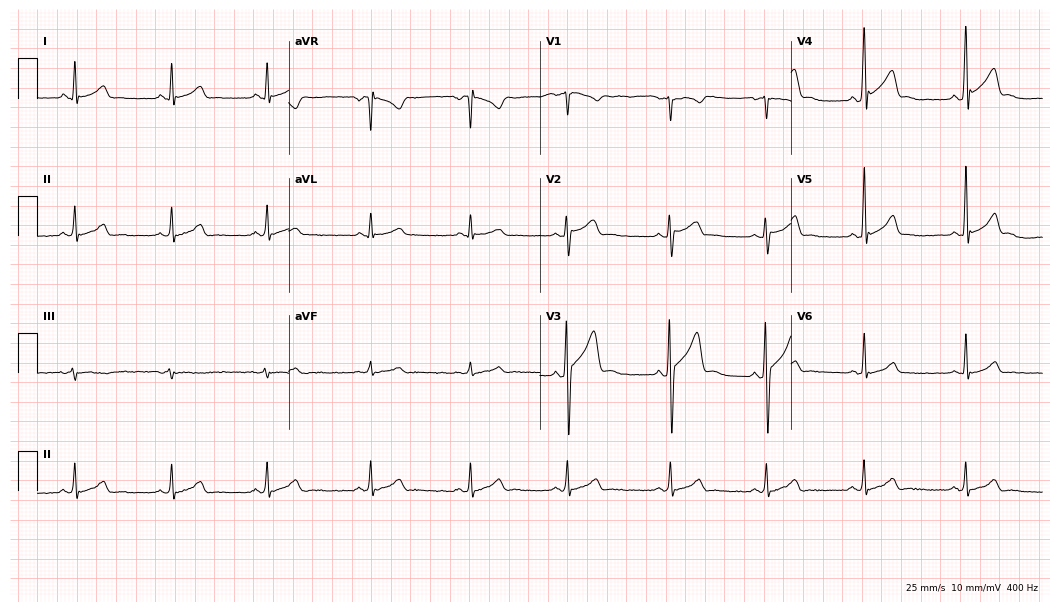
Standard 12-lead ECG recorded from a 22-year-old male (10.2-second recording at 400 Hz). None of these six findings is recorded: first-degree AV block, right bundle branch block (RBBB), left bundle branch block (LBBB), sinus bradycardia, atrial fibrillation (AF), sinus tachycardia. Other findings, if any, are not listed.